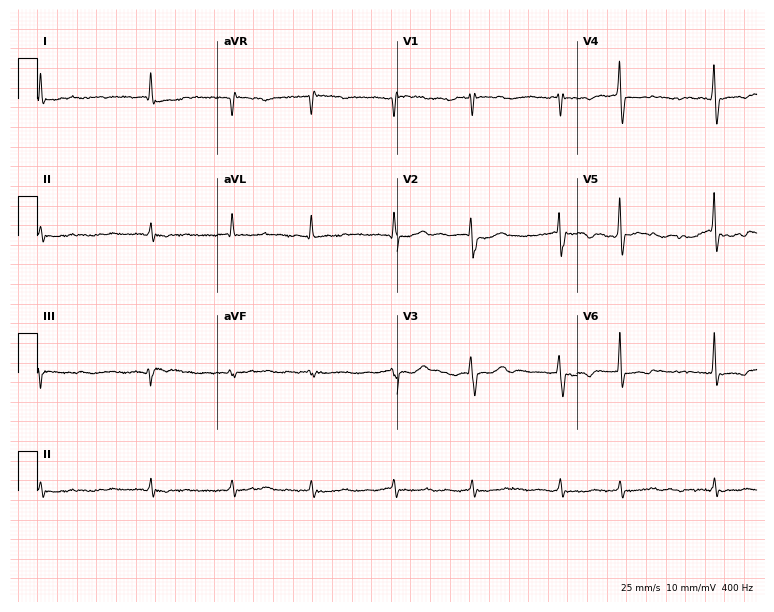
Standard 12-lead ECG recorded from a male patient, 71 years old (7.3-second recording at 400 Hz). The tracing shows atrial fibrillation (AF).